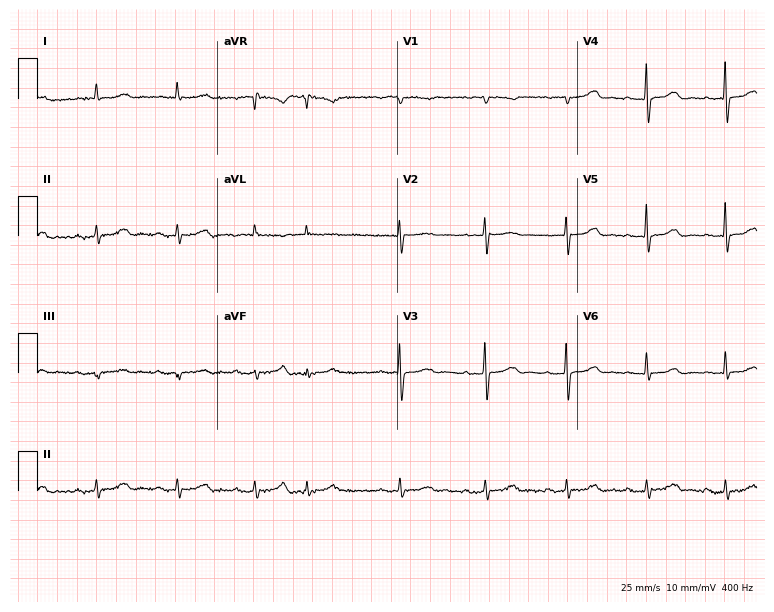
Electrocardiogram (7.3-second recording at 400 Hz), a female patient, 75 years old. Of the six screened findings (first-degree AV block, right bundle branch block (RBBB), left bundle branch block (LBBB), sinus bradycardia, atrial fibrillation (AF), sinus tachycardia), none is recorded.